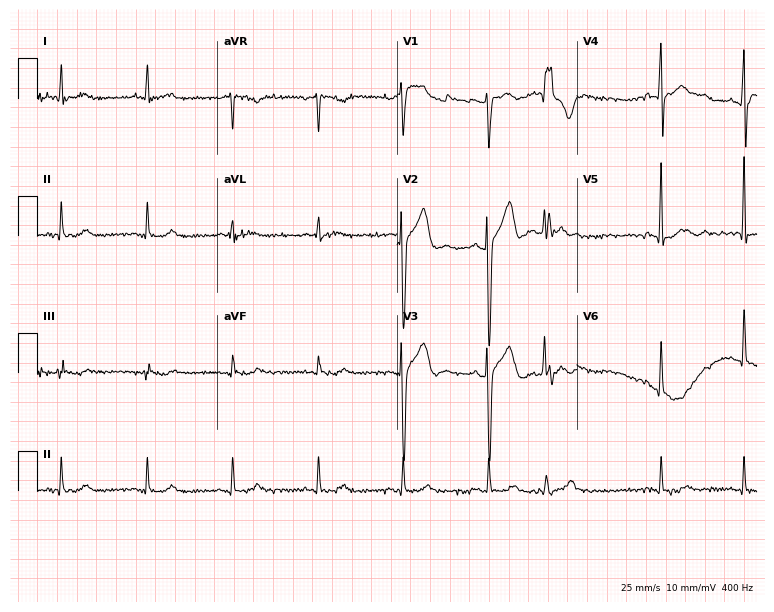
12-lead ECG from a 59-year-old male (7.3-second recording at 400 Hz). No first-degree AV block, right bundle branch block, left bundle branch block, sinus bradycardia, atrial fibrillation or sinus tachycardia recorded for this tracing.